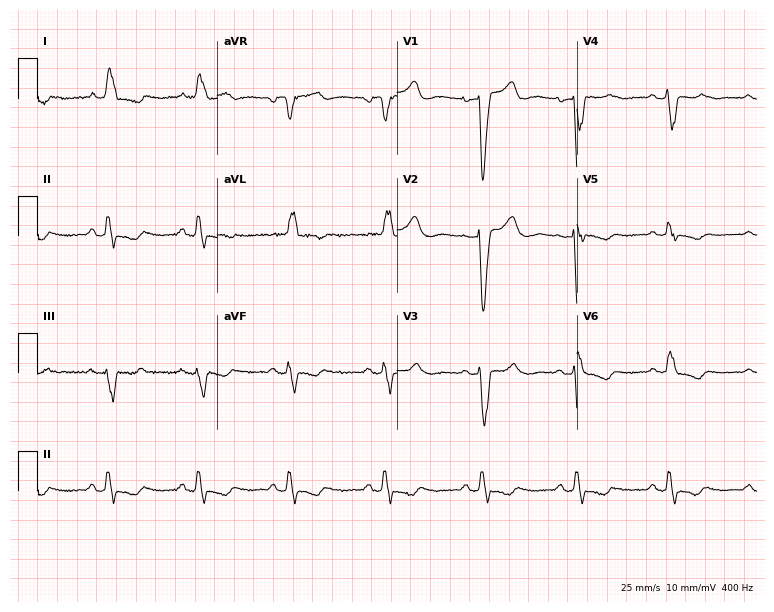
Standard 12-lead ECG recorded from a female, 62 years old. The tracing shows left bundle branch block.